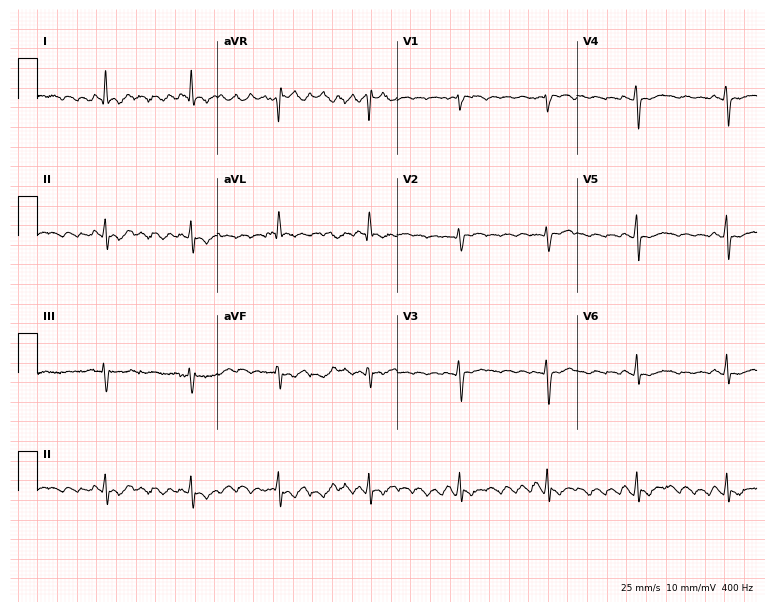
Standard 12-lead ECG recorded from a 63-year-old woman. None of these six findings is recorded: first-degree AV block, right bundle branch block (RBBB), left bundle branch block (LBBB), sinus bradycardia, atrial fibrillation (AF), sinus tachycardia. Only these six findings were labelled.